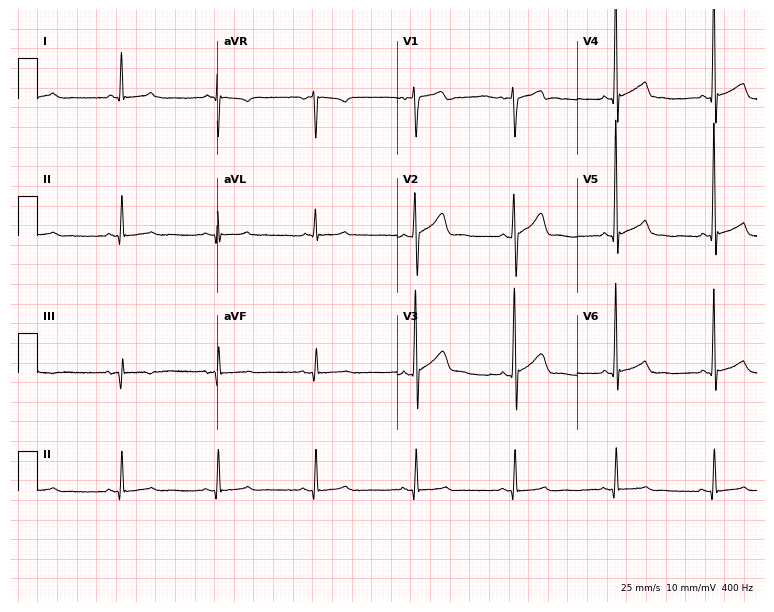
Electrocardiogram (7.3-second recording at 400 Hz), a male, 48 years old. Of the six screened findings (first-degree AV block, right bundle branch block, left bundle branch block, sinus bradycardia, atrial fibrillation, sinus tachycardia), none is recorded.